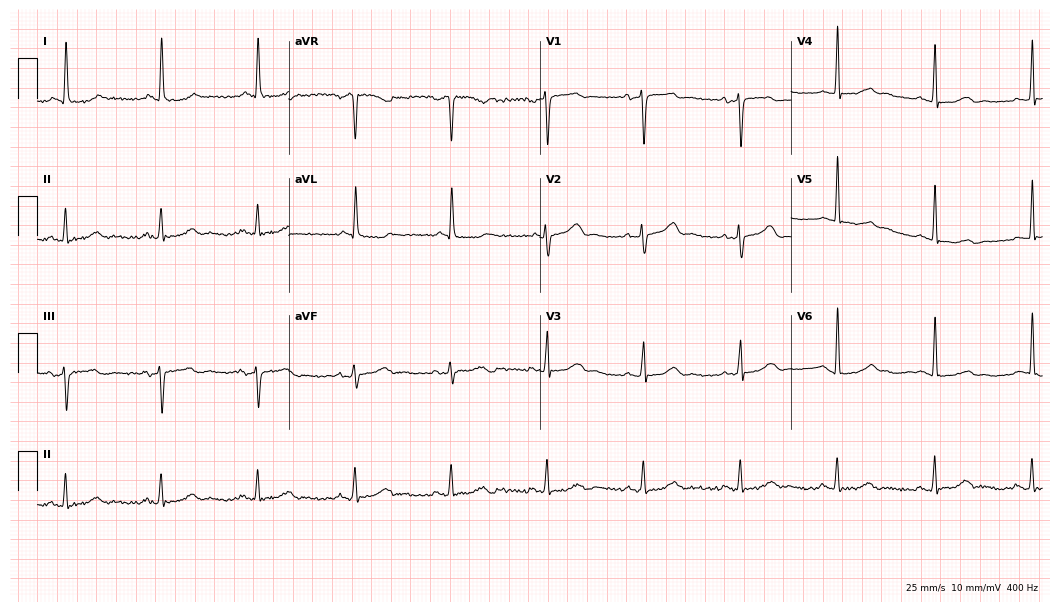
Standard 12-lead ECG recorded from a 76-year-old woman. None of these six findings is recorded: first-degree AV block, right bundle branch block (RBBB), left bundle branch block (LBBB), sinus bradycardia, atrial fibrillation (AF), sinus tachycardia.